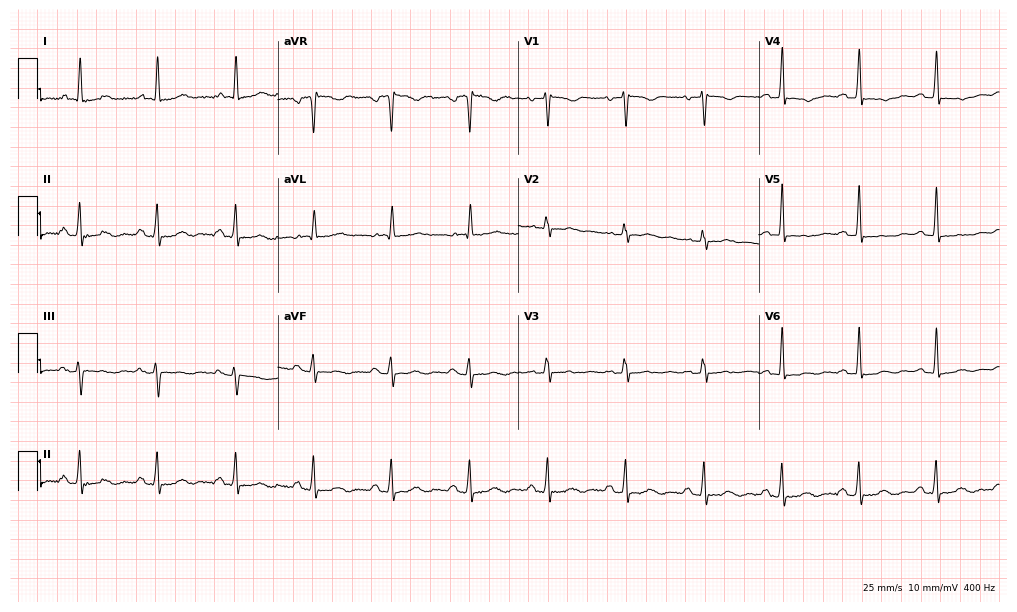
Resting 12-lead electrocardiogram. Patient: a female, 69 years old. Read as a normal ECG.